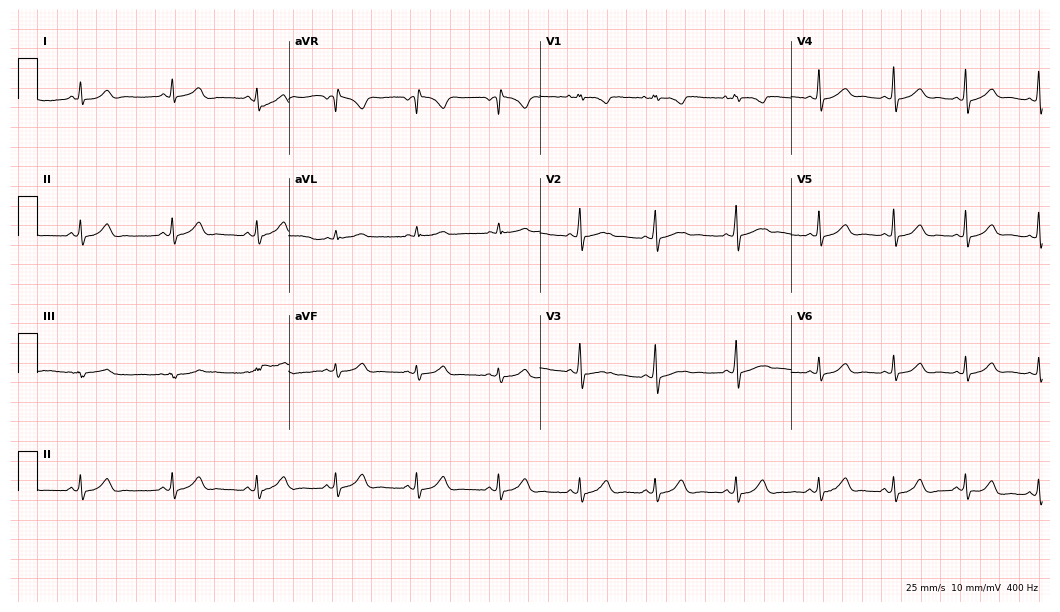
Resting 12-lead electrocardiogram (10.2-second recording at 400 Hz). Patient: a female, 28 years old. Read as a normal ECG.